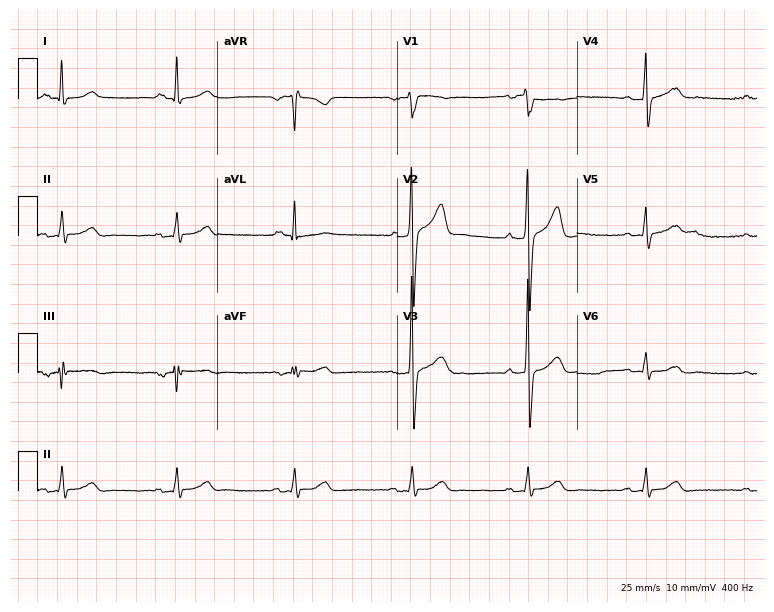
Resting 12-lead electrocardiogram. Patient: a 55-year-old man. Read as a normal ECG.